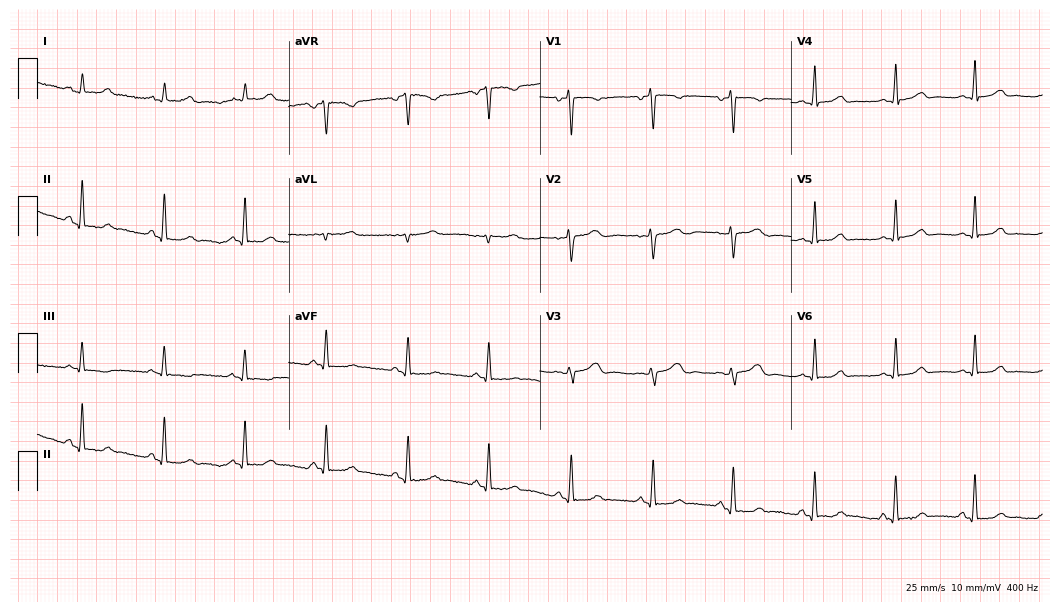
12-lead ECG (10.2-second recording at 400 Hz) from a female patient, 37 years old. Labelled as a normal ECG.